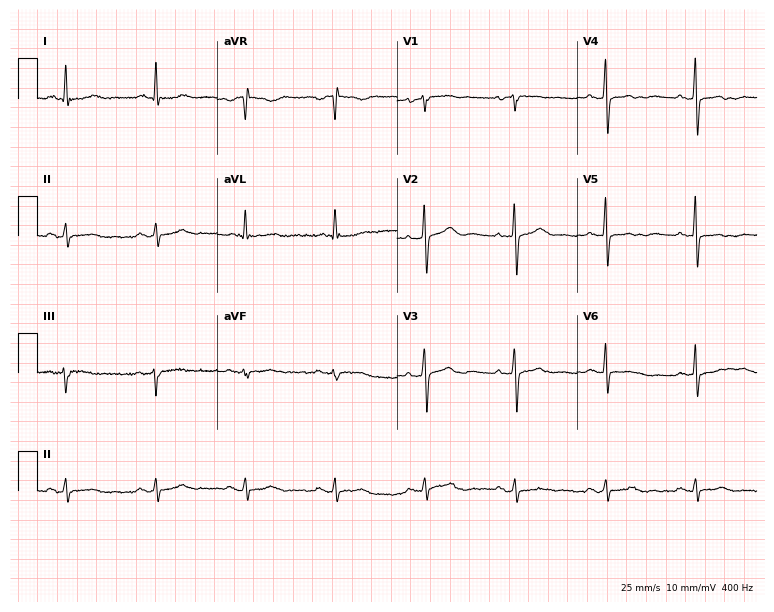
Resting 12-lead electrocardiogram. Patient: a female, 79 years old. Read as a normal ECG.